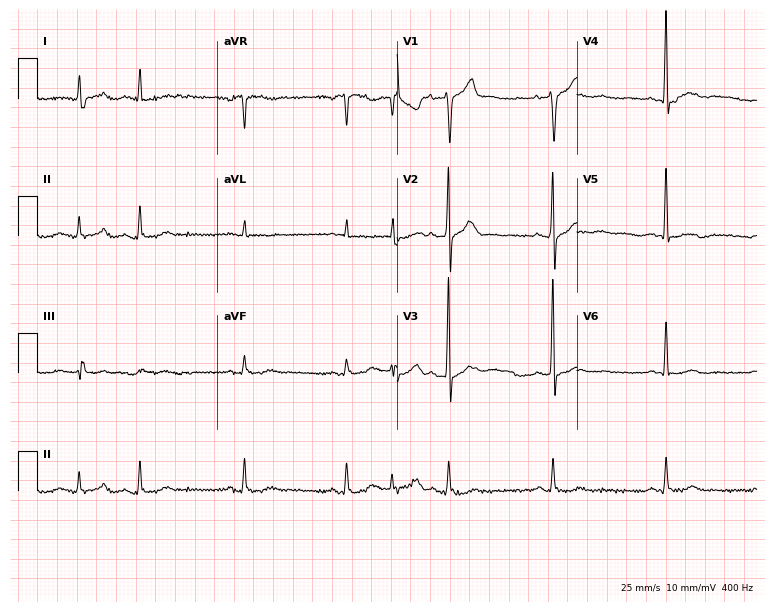
Standard 12-lead ECG recorded from a male patient, 78 years old (7.3-second recording at 400 Hz). None of these six findings is recorded: first-degree AV block, right bundle branch block (RBBB), left bundle branch block (LBBB), sinus bradycardia, atrial fibrillation (AF), sinus tachycardia.